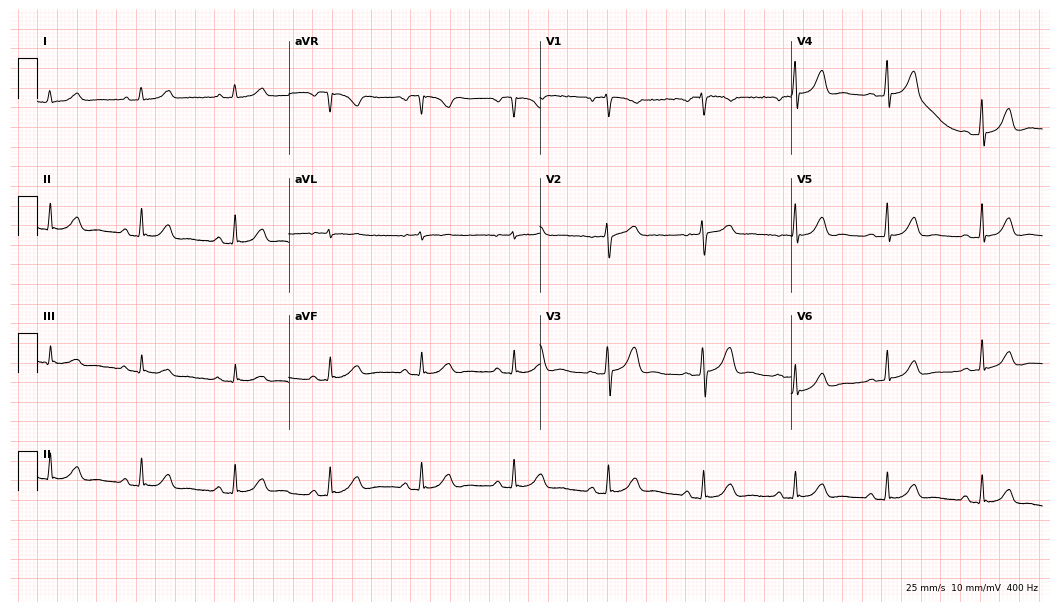
12-lead ECG (10.2-second recording at 400 Hz) from a woman, 54 years old. Labelled as a normal ECG.